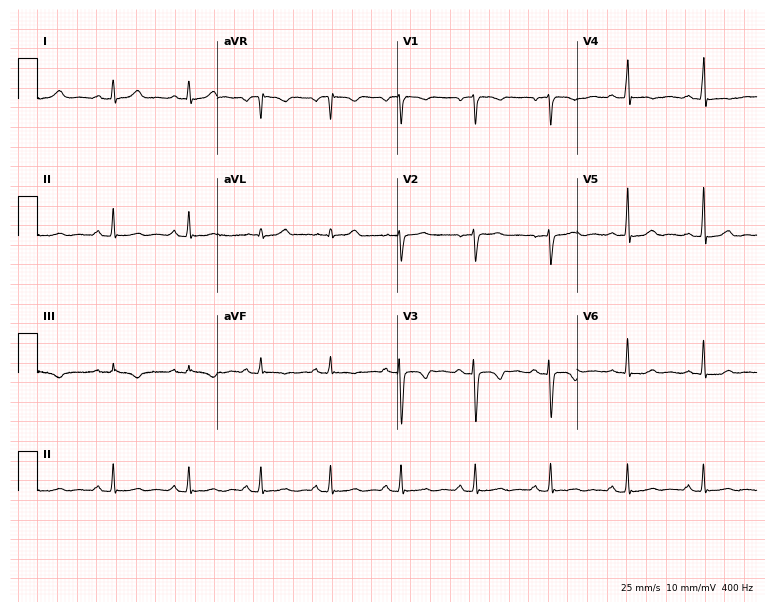
Electrocardiogram, a 24-year-old female. Of the six screened findings (first-degree AV block, right bundle branch block, left bundle branch block, sinus bradycardia, atrial fibrillation, sinus tachycardia), none is recorded. Findings outside these six are not listed.